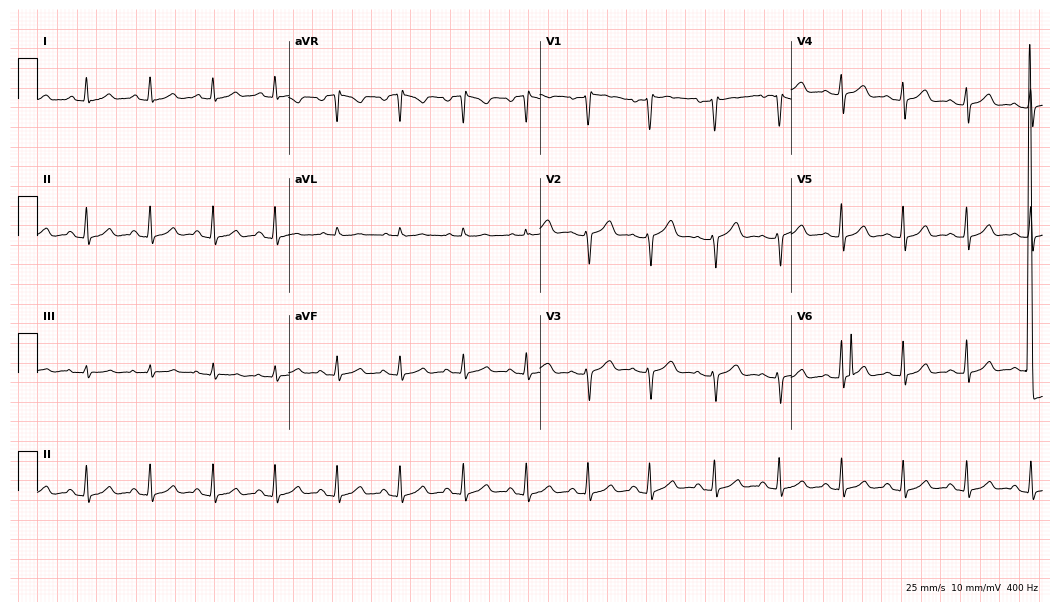
12-lead ECG from a female patient, 38 years old (10.2-second recording at 400 Hz). Recorded interpretation: within normal limits.